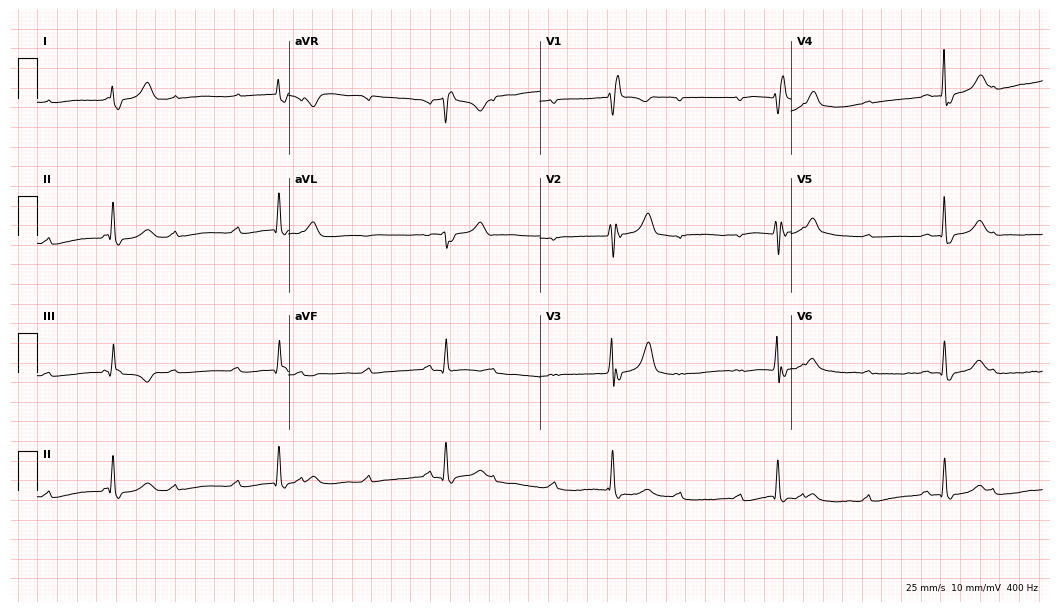
12-lead ECG (10.2-second recording at 400 Hz) from an 80-year-old man. Screened for six findings — first-degree AV block, right bundle branch block, left bundle branch block, sinus bradycardia, atrial fibrillation, sinus tachycardia — none is recorded.